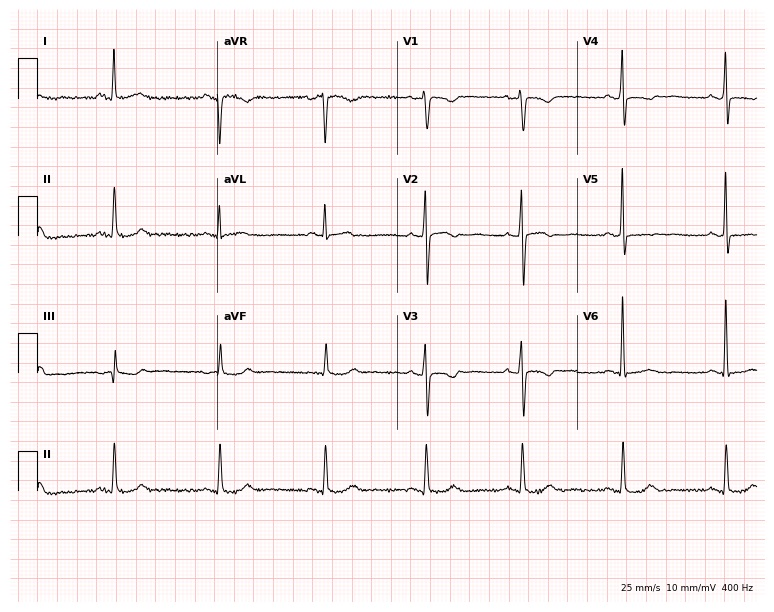
Electrocardiogram (7.3-second recording at 400 Hz), a female patient, 55 years old. Of the six screened findings (first-degree AV block, right bundle branch block (RBBB), left bundle branch block (LBBB), sinus bradycardia, atrial fibrillation (AF), sinus tachycardia), none is recorded.